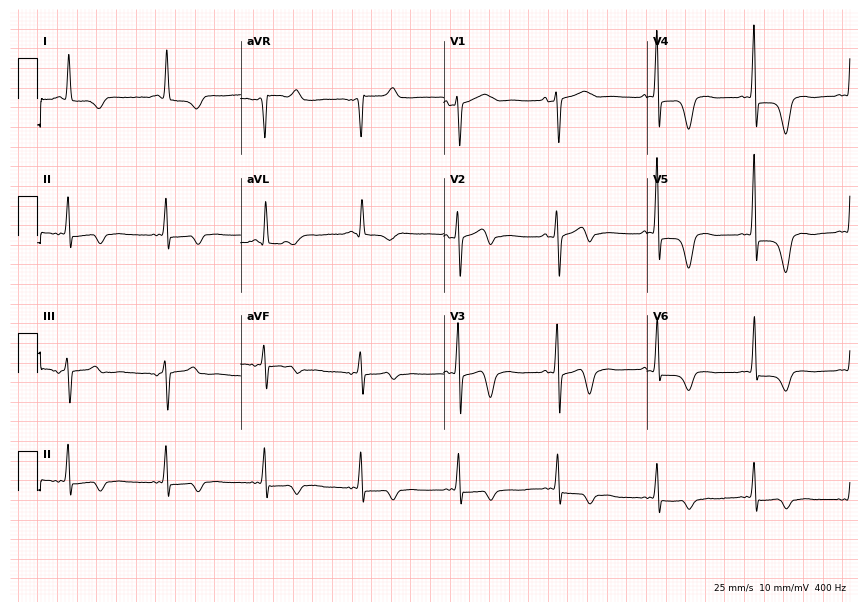
Electrocardiogram (8.3-second recording at 400 Hz), a 73-year-old woman. Of the six screened findings (first-degree AV block, right bundle branch block (RBBB), left bundle branch block (LBBB), sinus bradycardia, atrial fibrillation (AF), sinus tachycardia), none is recorded.